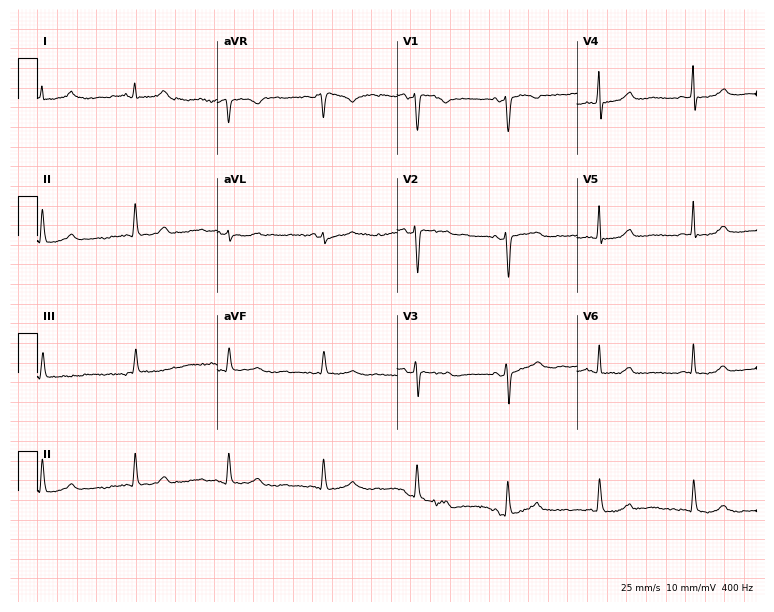
12-lead ECG (7.3-second recording at 400 Hz) from a 76-year-old woman. Screened for six findings — first-degree AV block, right bundle branch block, left bundle branch block, sinus bradycardia, atrial fibrillation, sinus tachycardia — none is recorded. Only these six findings were labelled.